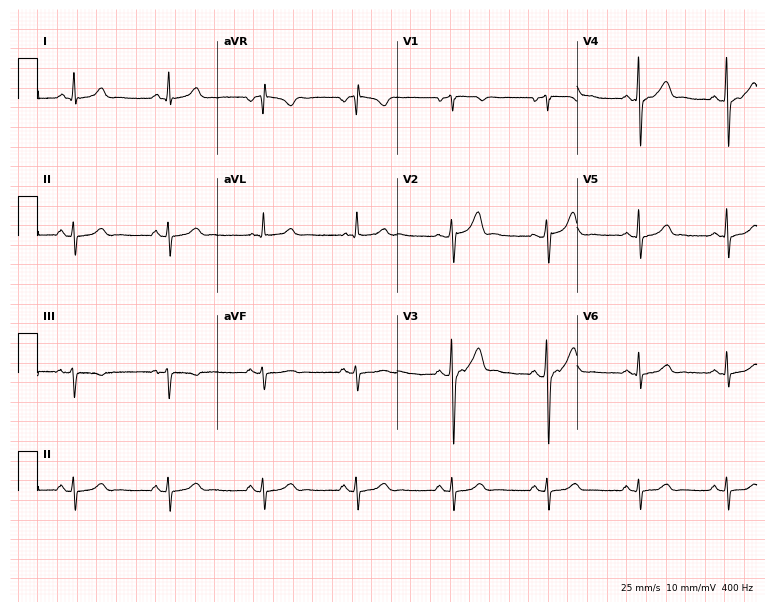
Electrocardiogram, a 45-year-old male patient. Of the six screened findings (first-degree AV block, right bundle branch block (RBBB), left bundle branch block (LBBB), sinus bradycardia, atrial fibrillation (AF), sinus tachycardia), none is recorded.